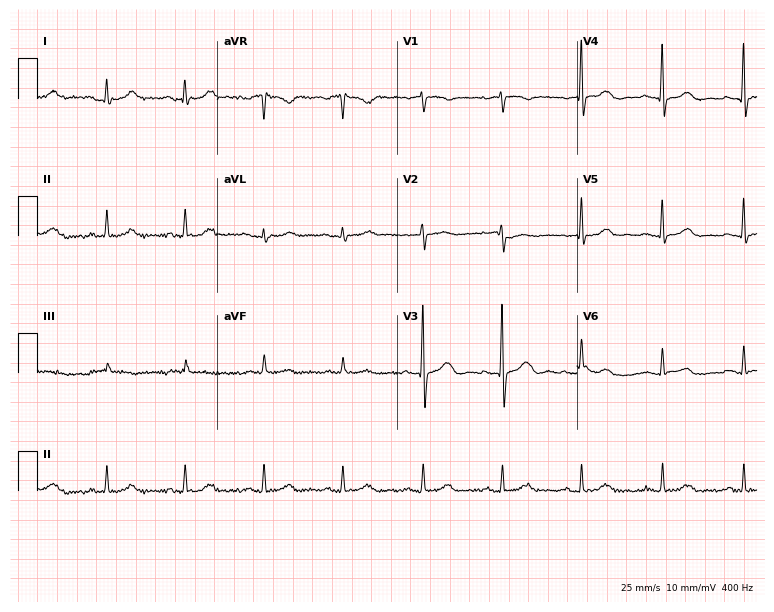
12-lead ECG (7.3-second recording at 400 Hz) from a female, 80 years old. Screened for six findings — first-degree AV block, right bundle branch block, left bundle branch block, sinus bradycardia, atrial fibrillation, sinus tachycardia — none is recorded. Other findings, if any, are not listed.